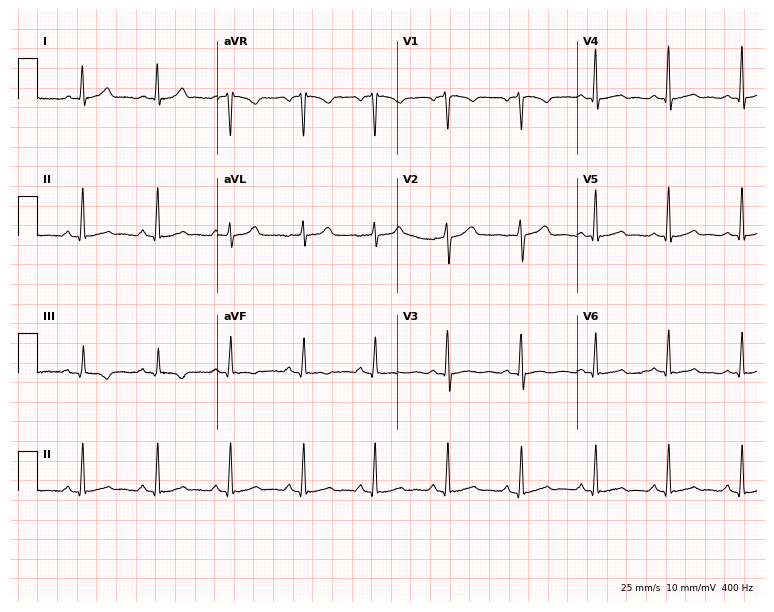
12-lead ECG from a 42-year-old woman. Labelled as a normal ECG.